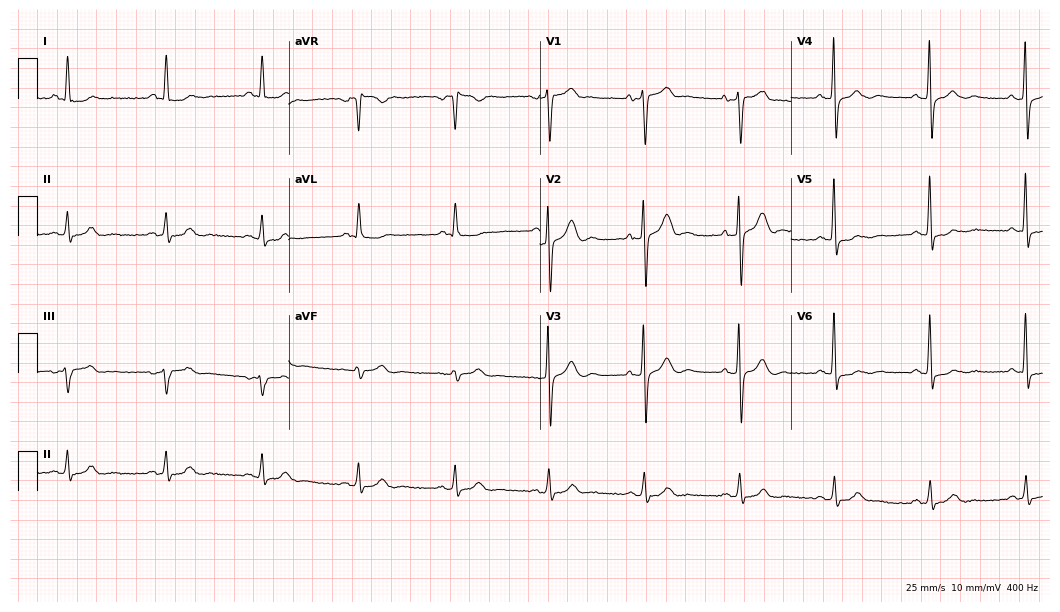
Electrocardiogram (10.2-second recording at 400 Hz), a male patient, 58 years old. Overall reading on record: normal ECG.